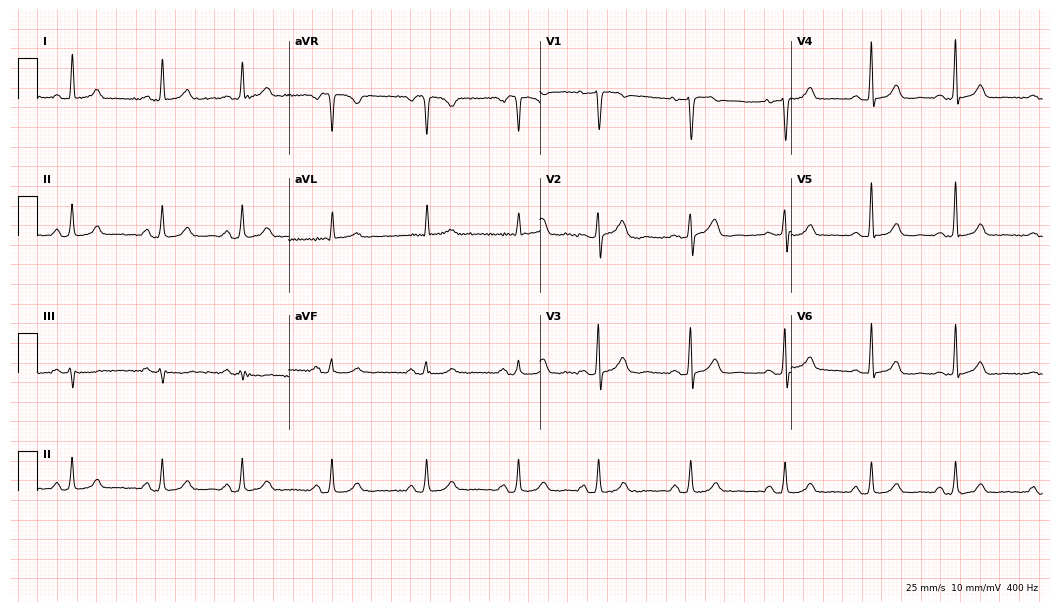
12-lead ECG (10.2-second recording at 400 Hz) from a 33-year-old female. Labelled as a normal ECG.